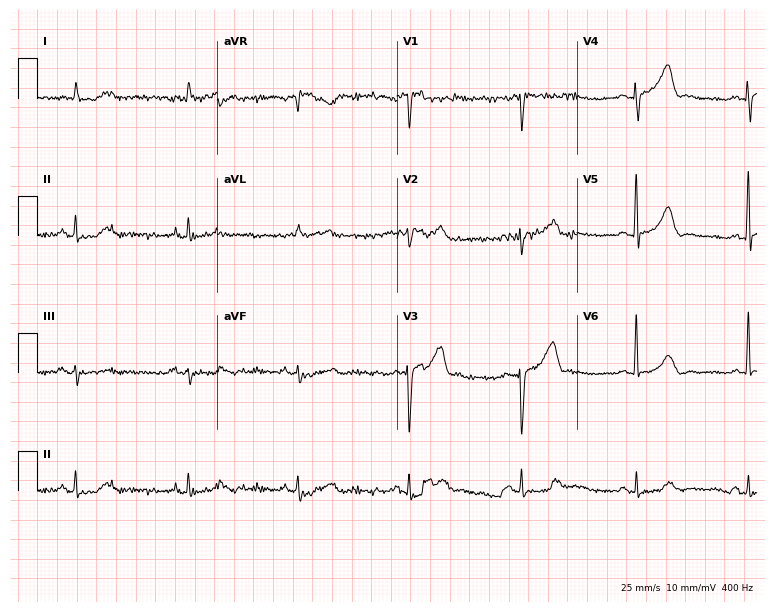
ECG (7.3-second recording at 400 Hz) — an 82-year-old male patient. Screened for six findings — first-degree AV block, right bundle branch block (RBBB), left bundle branch block (LBBB), sinus bradycardia, atrial fibrillation (AF), sinus tachycardia — none is recorded. Only these six findings were labelled.